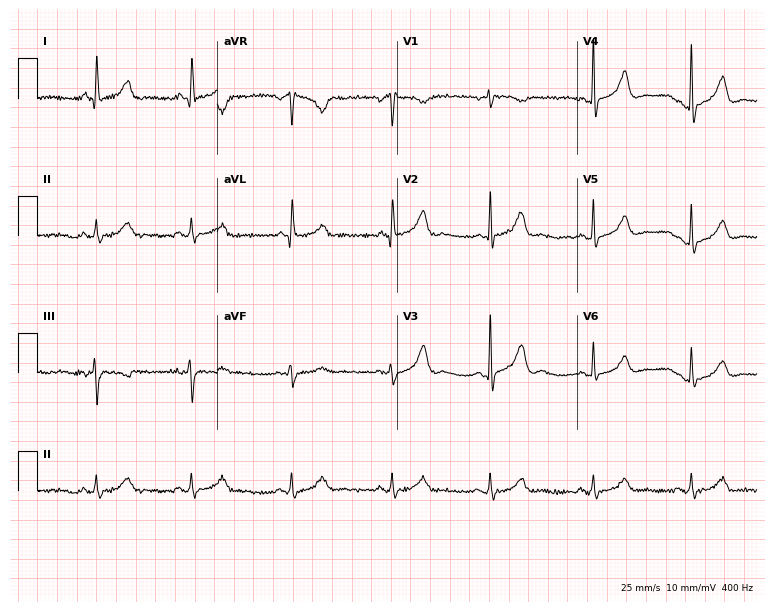
Electrocardiogram (7.3-second recording at 400 Hz), a woman, 55 years old. Overall reading on record: normal ECG.